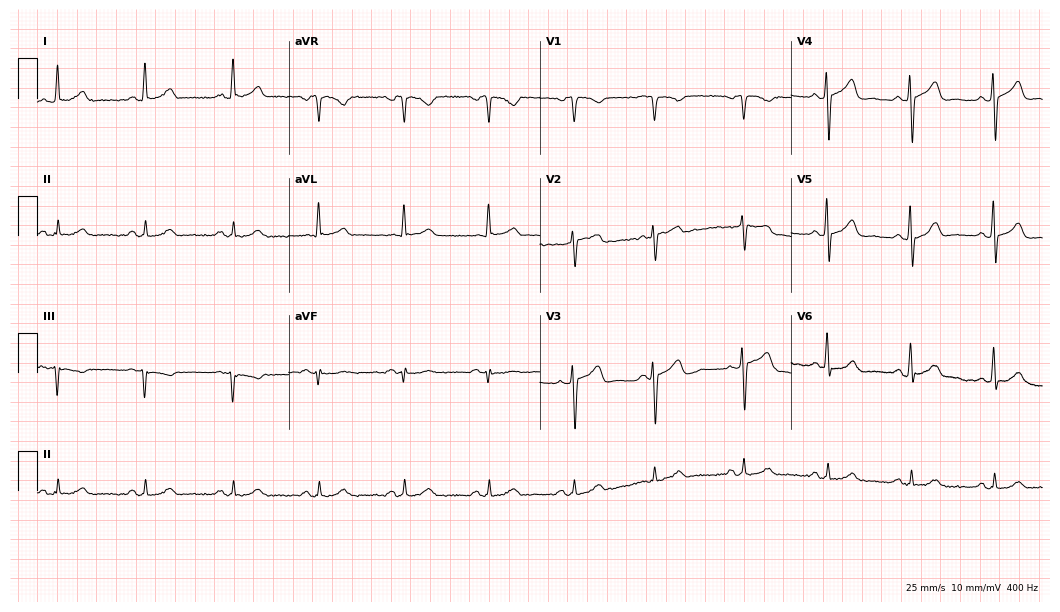
12-lead ECG (10.2-second recording at 400 Hz) from a man, 65 years old. Labelled as a normal ECG.